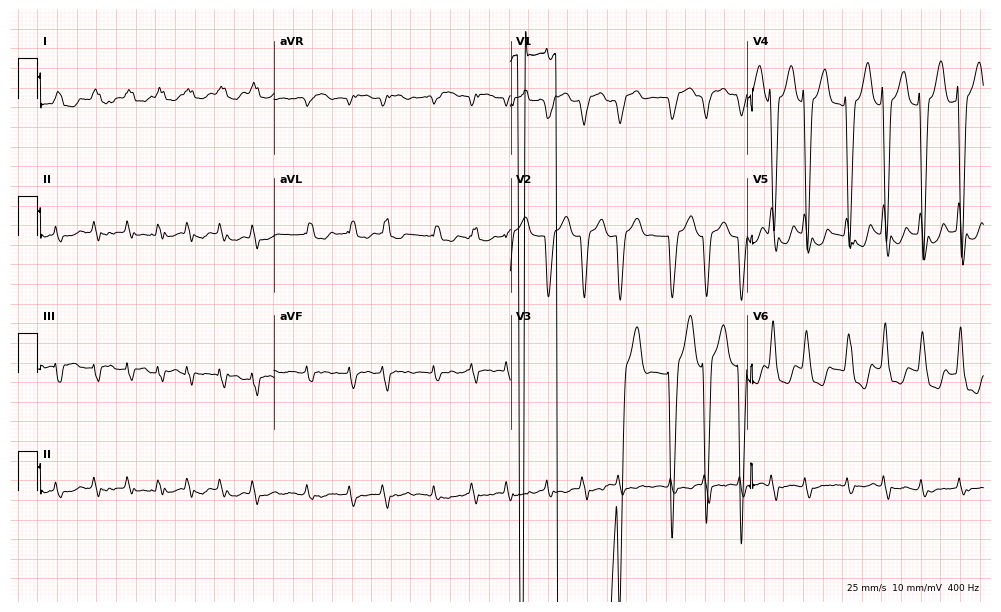
Resting 12-lead electrocardiogram (9.6-second recording at 400 Hz). Patient: a 79-year-old male. The tracing shows atrial fibrillation (AF).